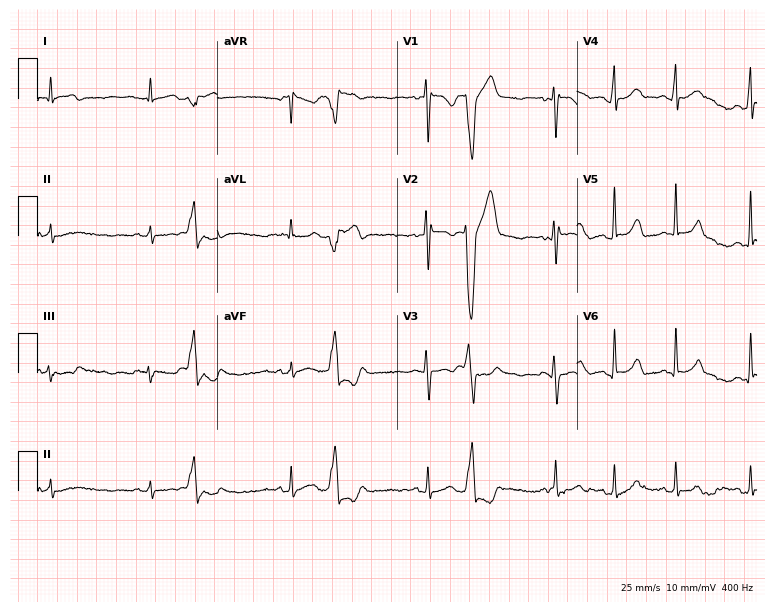
Resting 12-lead electrocardiogram. Patient: a 19-year-old woman. None of these six findings is recorded: first-degree AV block, right bundle branch block, left bundle branch block, sinus bradycardia, atrial fibrillation, sinus tachycardia.